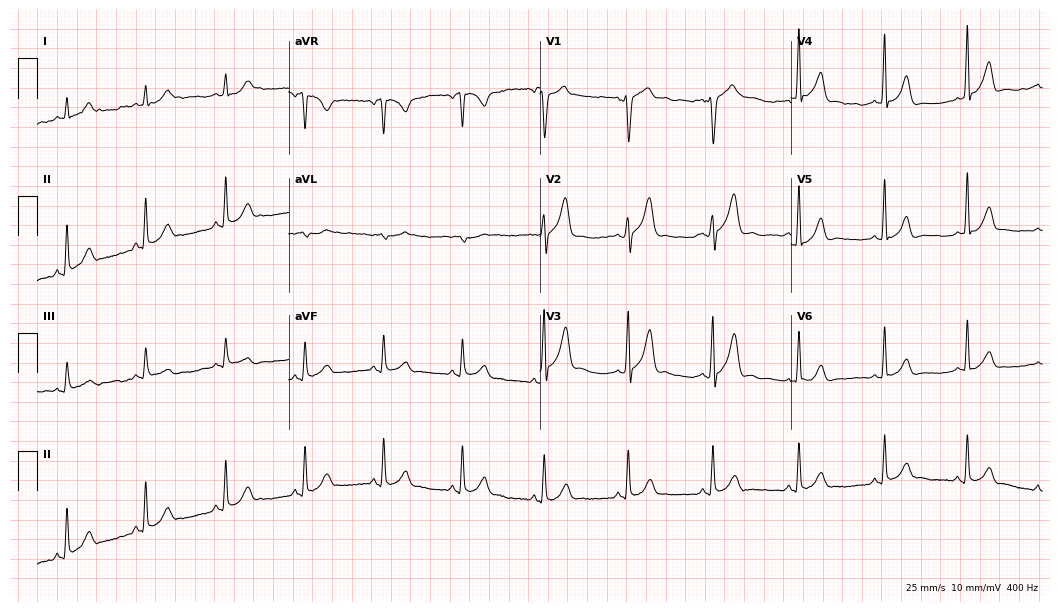
Standard 12-lead ECG recorded from a male, 35 years old. Read as a normal ECG.